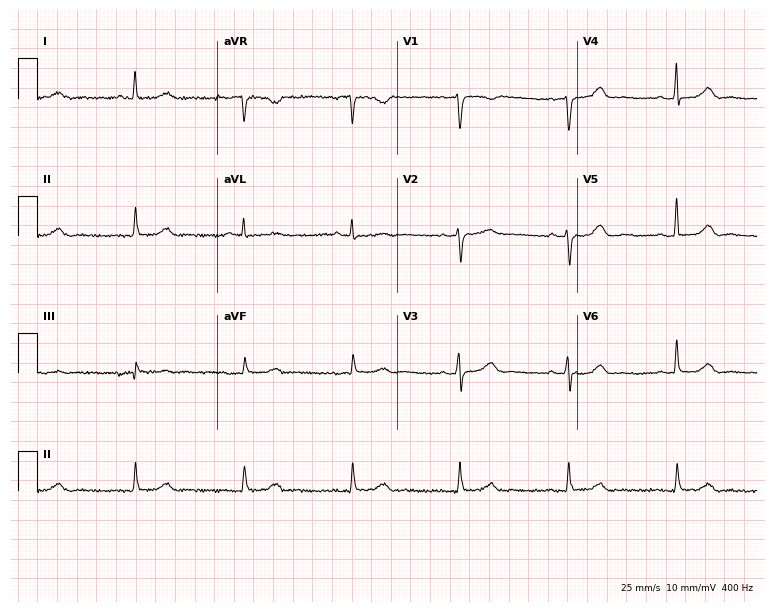
12-lead ECG (7.3-second recording at 400 Hz) from a woman, 62 years old. Labelled as a normal ECG.